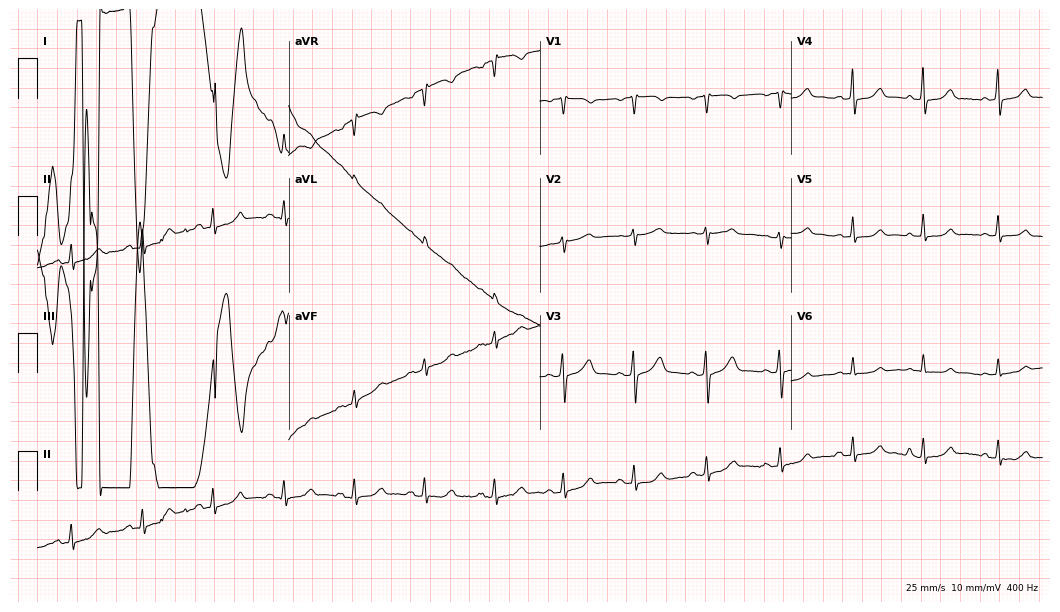
Standard 12-lead ECG recorded from a female patient, 60 years old (10.2-second recording at 400 Hz). None of these six findings is recorded: first-degree AV block, right bundle branch block (RBBB), left bundle branch block (LBBB), sinus bradycardia, atrial fibrillation (AF), sinus tachycardia. Only these six findings were labelled.